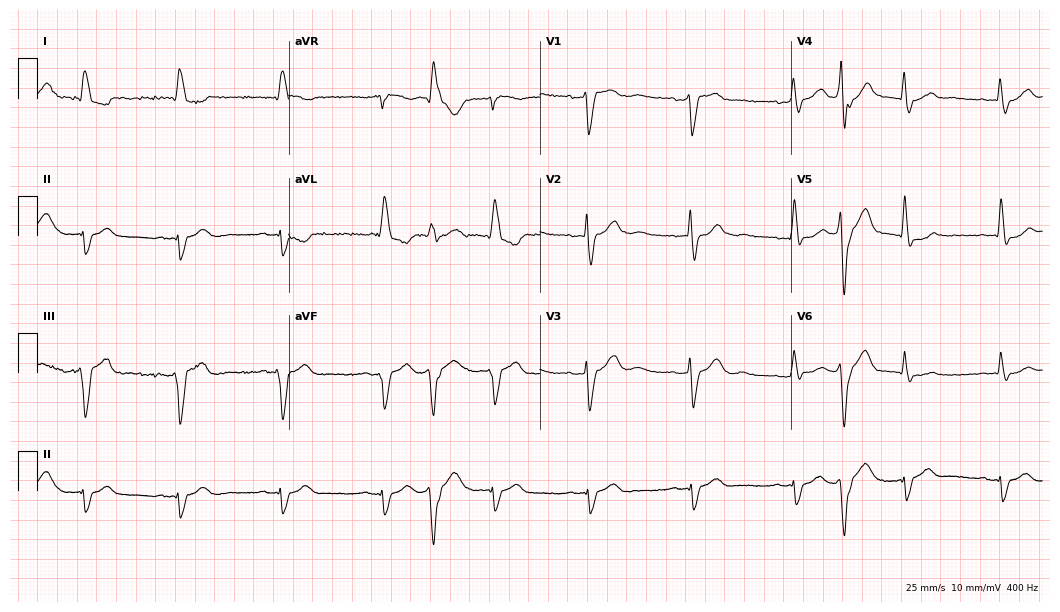
ECG — an 84-year-old man. Screened for six findings — first-degree AV block, right bundle branch block, left bundle branch block, sinus bradycardia, atrial fibrillation, sinus tachycardia — none is recorded. Findings outside these six are not listed.